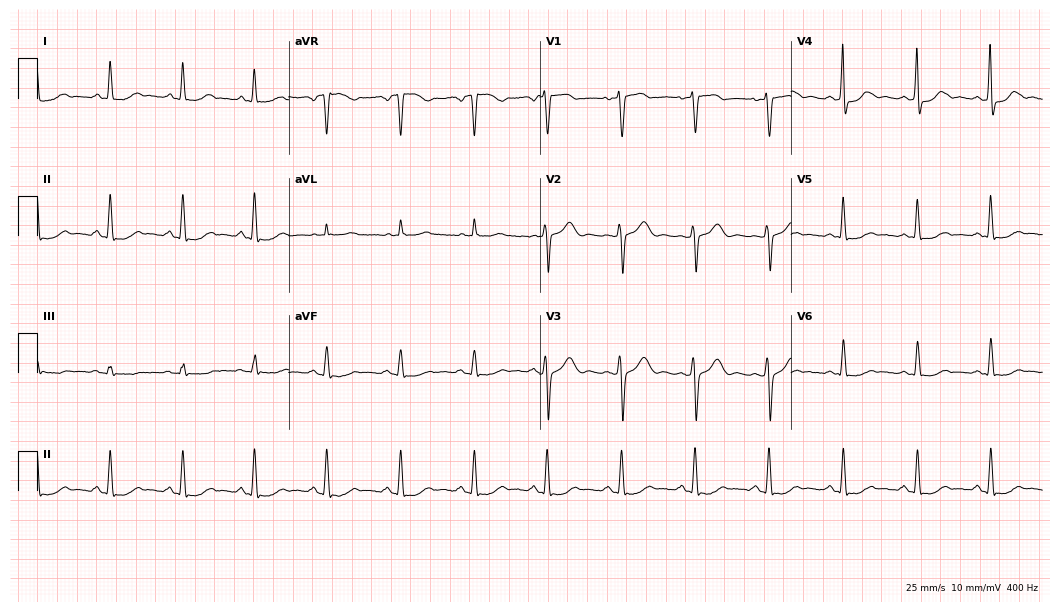
12-lead ECG from a woman, 50 years old. No first-degree AV block, right bundle branch block, left bundle branch block, sinus bradycardia, atrial fibrillation or sinus tachycardia recorded for this tracing. Findings outside these six are not listed.